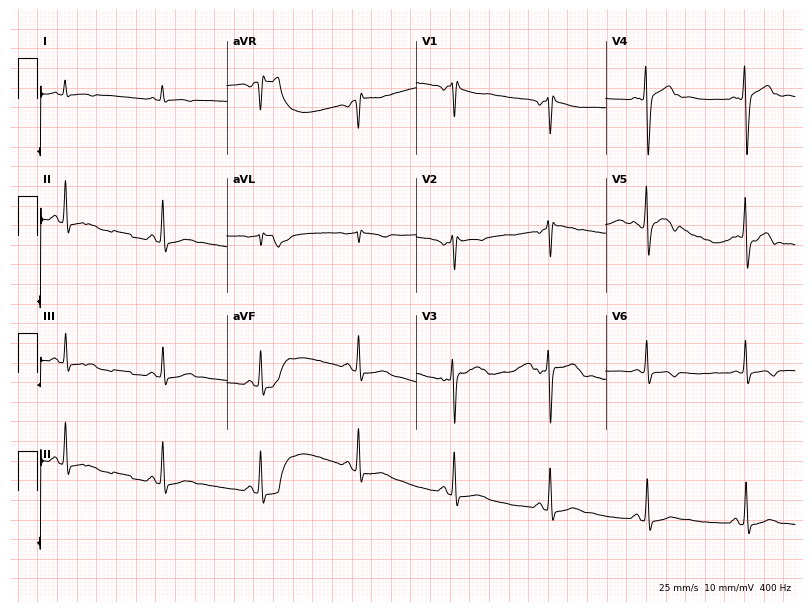
12-lead ECG from a male, 62 years old (7.7-second recording at 400 Hz). No first-degree AV block, right bundle branch block, left bundle branch block, sinus bradycardia, atrial fibrillation or sinus tachycardia recorded for this tracing. Other findings, if any, are not listed.